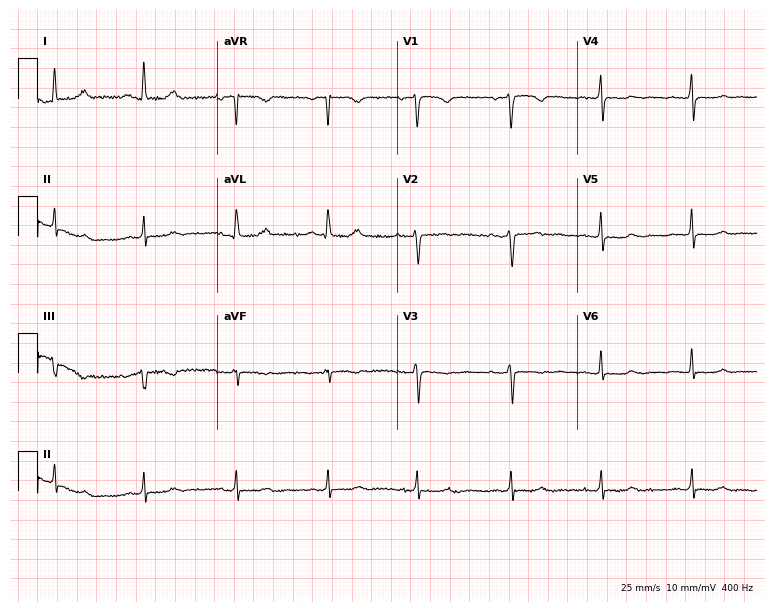
12-lead ECG from a female patient, 52 years old. Screened for six findings — first-degree AV block, right bundle branch block (RBBB), left bundle branch block (LBBB), sinus bradycardia, atrial fibrillation (AF), sinus tachycardia — none is recorded.